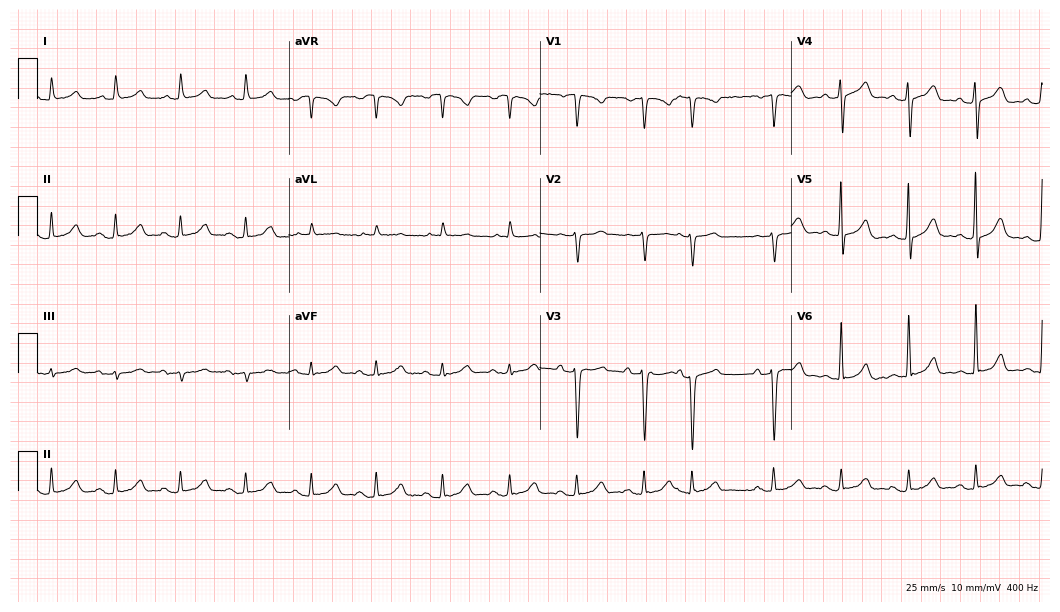
12-lead ECG from a male, 61 years old. Recorded interpretation: within normal limits.